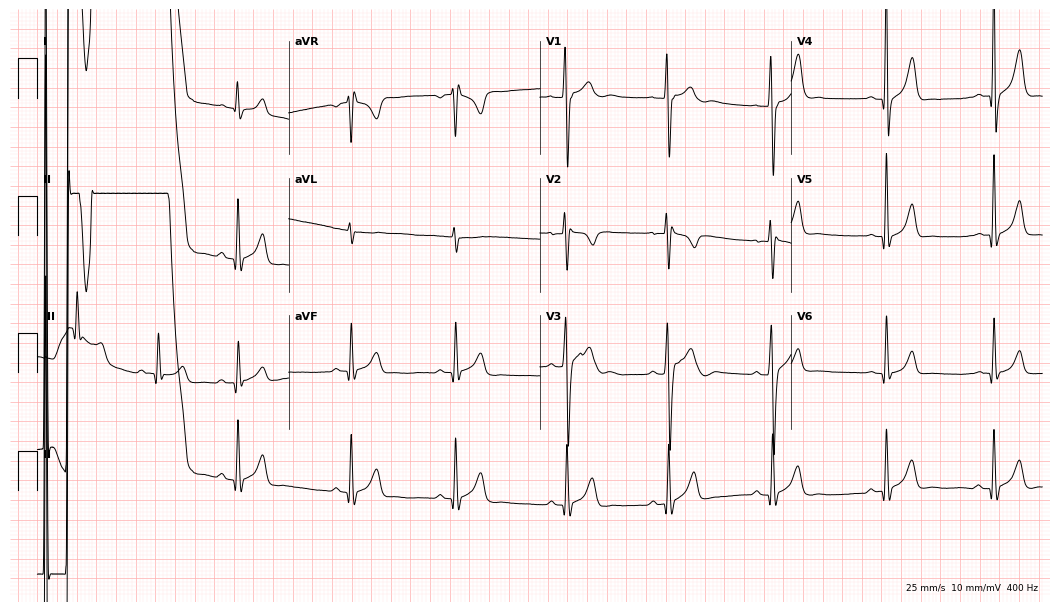
ECG (10.2-second recording at 400 Hz) — a 17-year-old male patient. Labelled as a normal ECG.